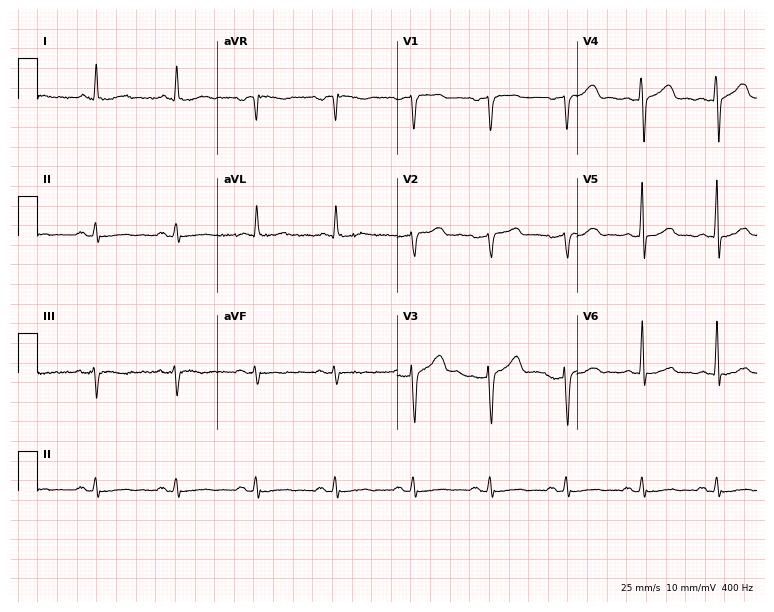
Resting 12-lead electrocardiogram (7.3-second recording at 400 Hz). Patient: a 60-year-old man. None of these six findings is recorded: first-degree AV block, right bundle branch block (RBBB), left bundle branch block (LBBB), sinus bradycardia, atrial fibrillation (AF), sinus tachycardia.